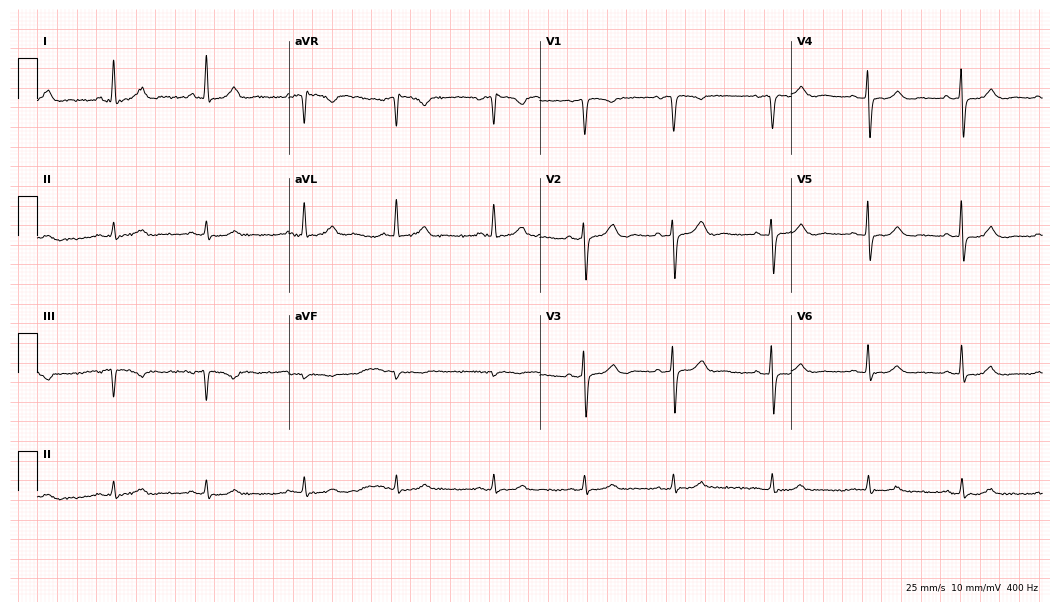
12-lead ECG from a woman, 64 years old (10.2-second recording at 400 Hz). Recorded interpretation: within normal limits.